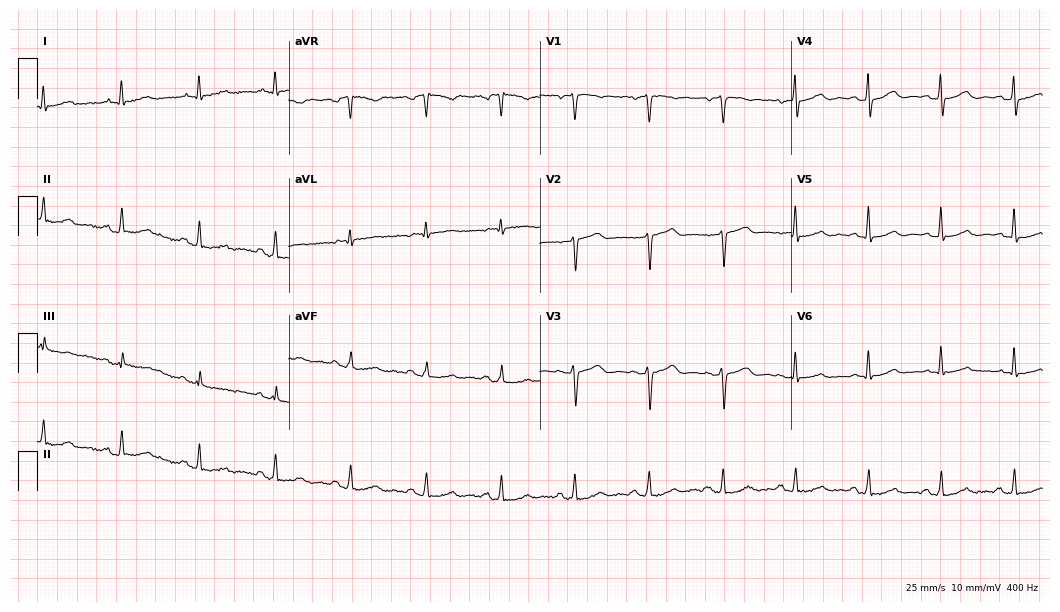
12-lead ECG (10.2-second recording at 400 Hz) from a 71-year-old man. Screened for six findings — first-degree AV block, right bundle branch block, left bundle branch block, sinus bradycardia, atrial fibrillation, sinus tachycardia — none is recorded.